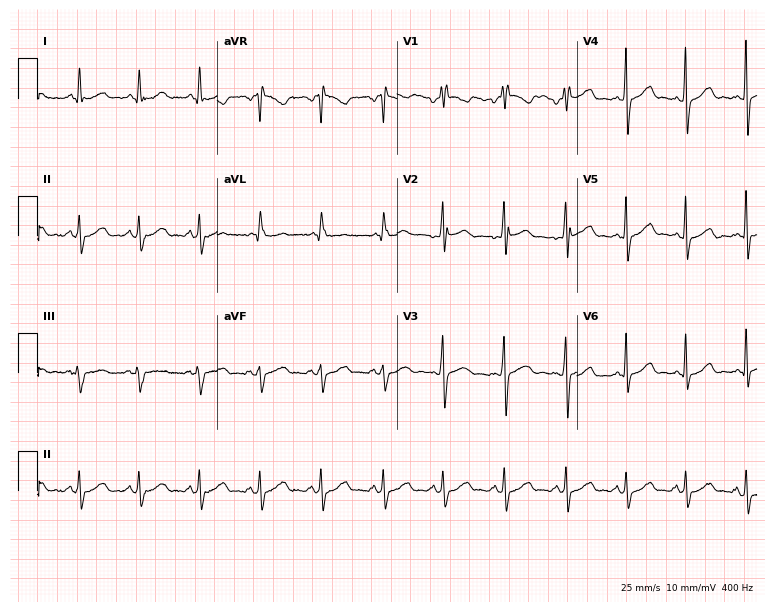
12-lead ECG from a woman, 34 years old. No first-degree AV block, right bundle branch block (RBBB), left bundle branch block (LBBB), sinus bradycardia, atrial fibrillation (AF) or sinus tachycardia recorded for this tracing. Findings outside these six are not listed.